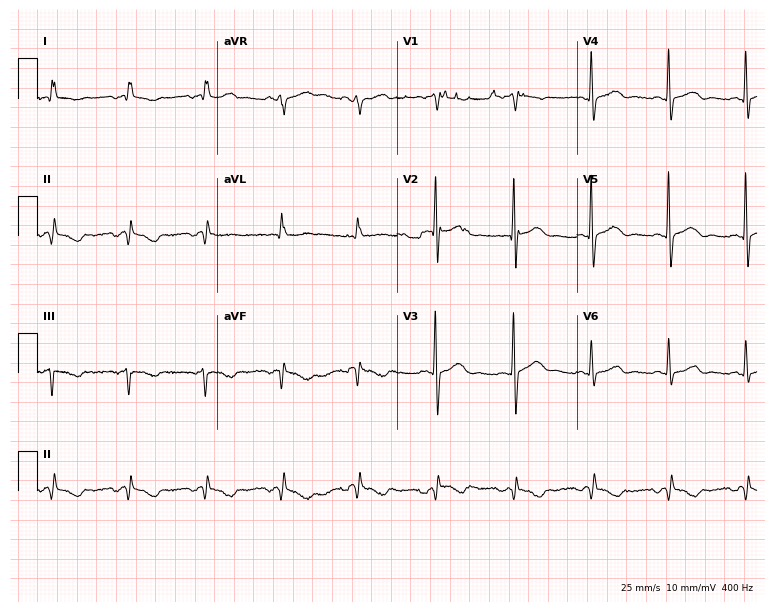
Resting 12-lead electrocardiogram (7.3-second recording at 400 Hz). Patient: a 64-year-old man. None of these six findings is recorded: first-degree AV block, right bundle branch block, left bundle branch block, sinus bradycardia, atrial fibrillation, sinus tachycardia. Other findings, if any, are not listed.